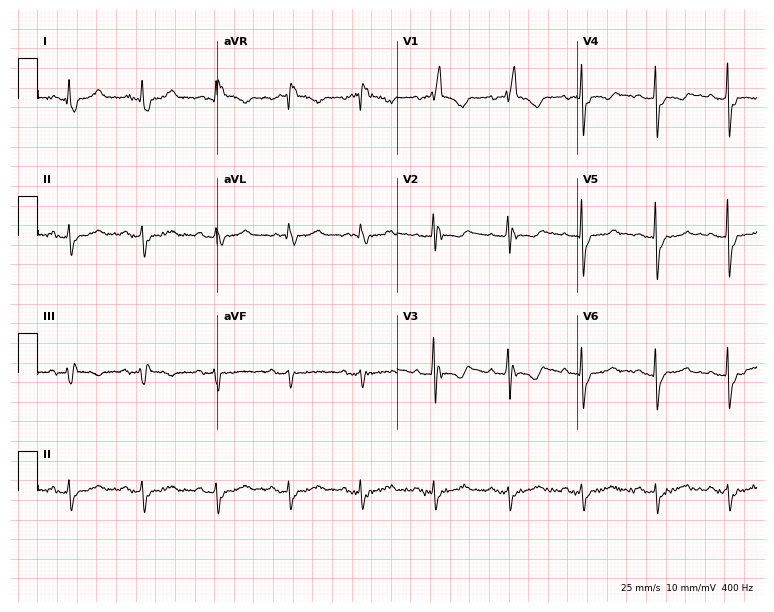
Standard 12-lead ECG recorded from a female patient, 82 years old (7.3-second recording at 400 Hz). The tracing shows right bundle branch block.